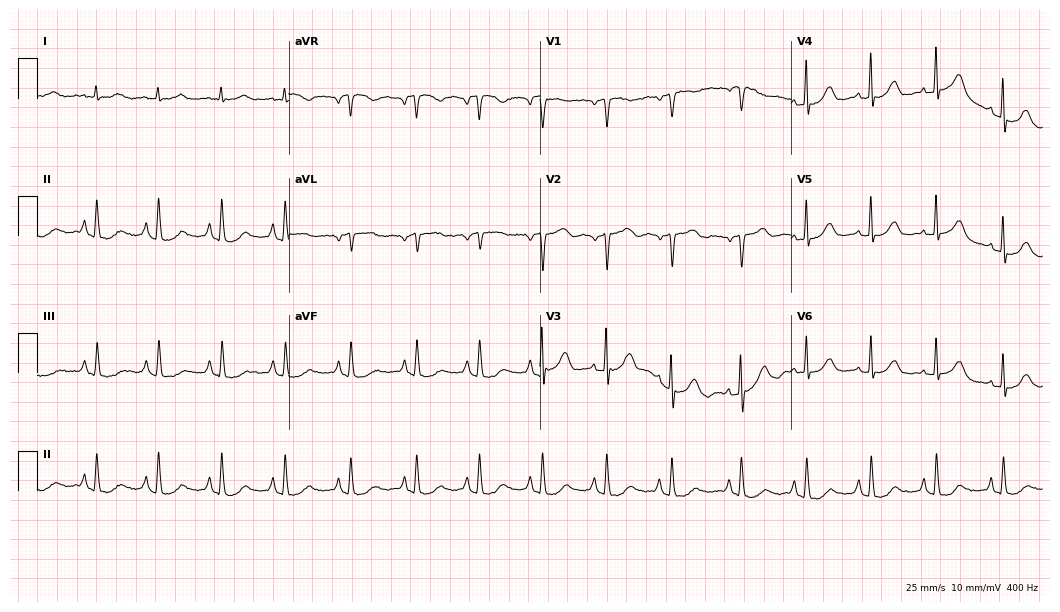
Resting 12-lead electrocardiogram. Patient: a female, 78 years old. None of these six findings is recorded: first-degree AV block, right bundle branch block, left bundle branch block, sinus bradycardia, atrial fibrillation, sinus tachycardia. Only these six findings were labelled.